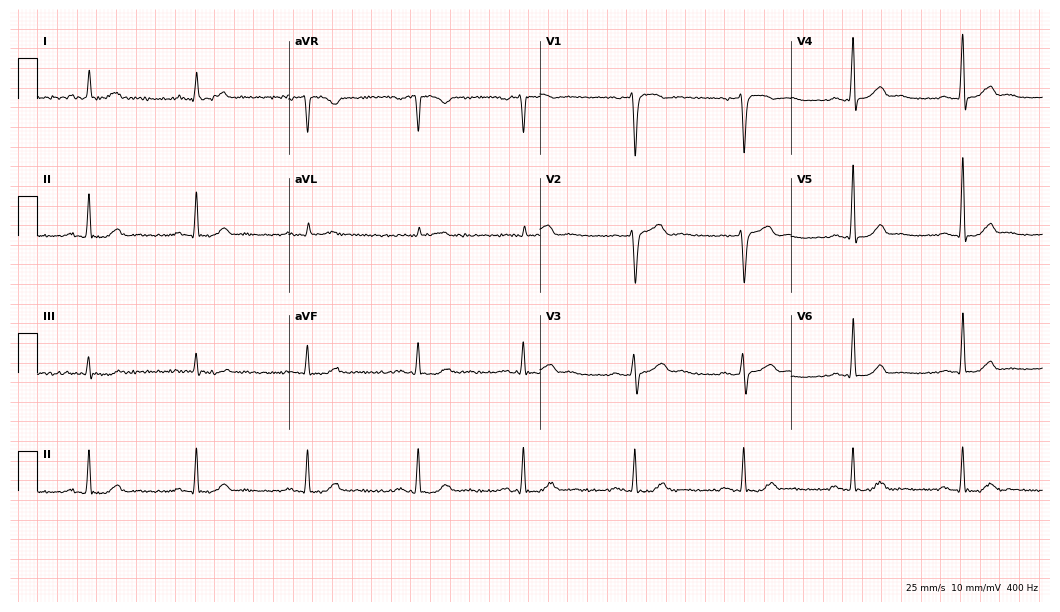
Standard 12-lead ECG recorded from a 54-year-old male patient (10.2-second recording at 400 Hz). None of these six findings is recorded: first-degree AV block, right bundle branch block (RBBB), left bundle branch block (LBBB), sinus bradycardia, atrial fibrillation (AF), sinus tachycardia. Only these six findings were labelled.